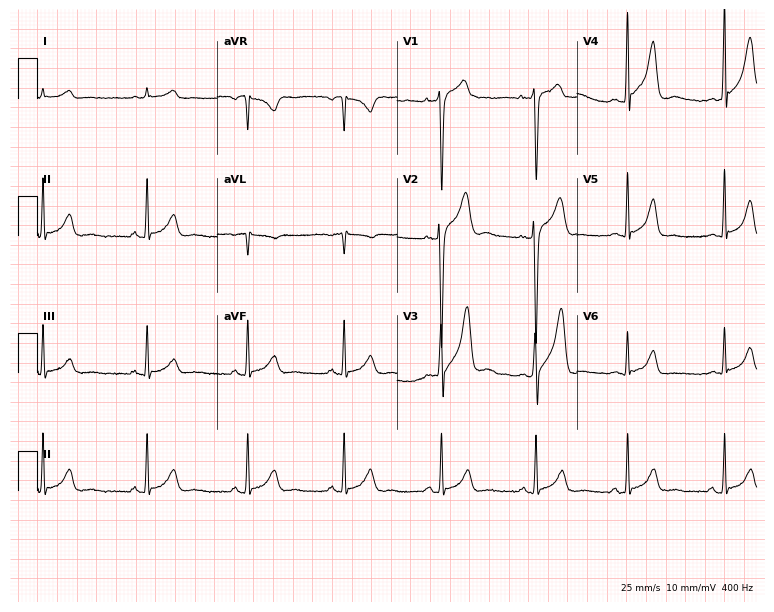
Electrocardiogram (7.3-second recording at 400 Hz), a man, 24 years old. Overall reading on record: normal ECG.